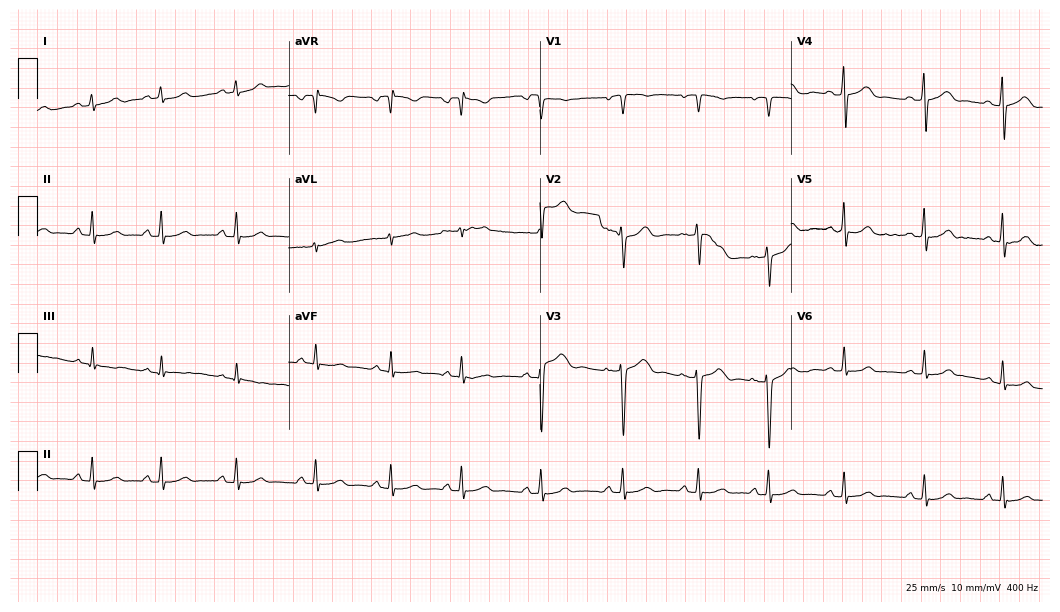
Resting 12-lead electrocardiogram (10.2-second recording at 400 Hz). Patient: a female, 17 years old. Read as a normal ECG.